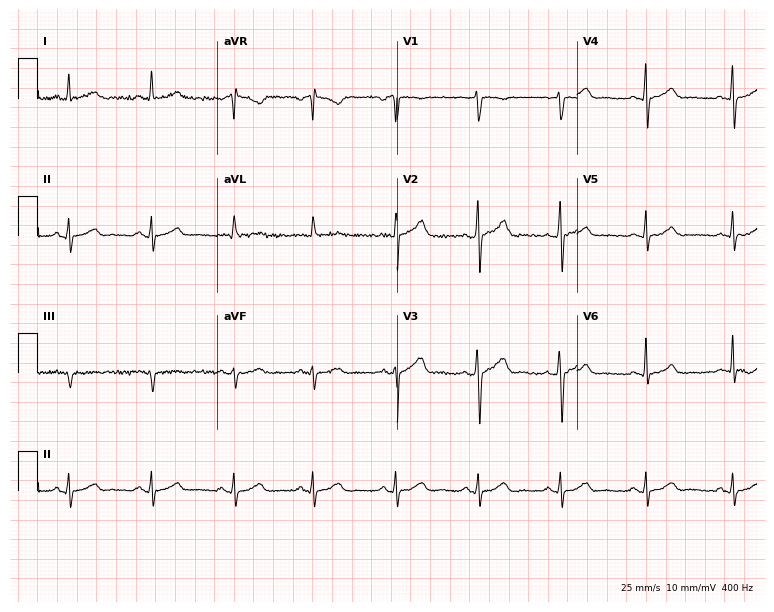
12-lead ECG (7.3-second recording at 400 Hz) from a 41-year-old woman. Labelled as a normal ECG.